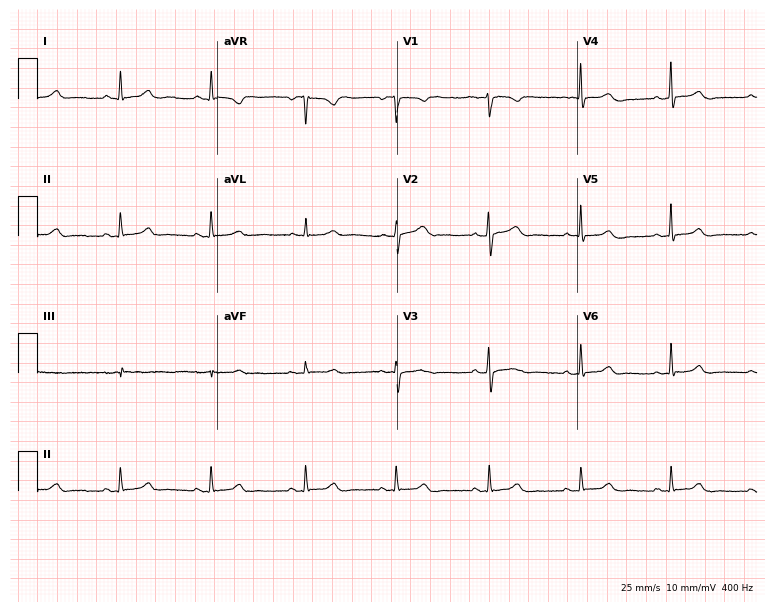
Electrocardiogram, a 33-year-old female. Overall reading on record: normal ECG.